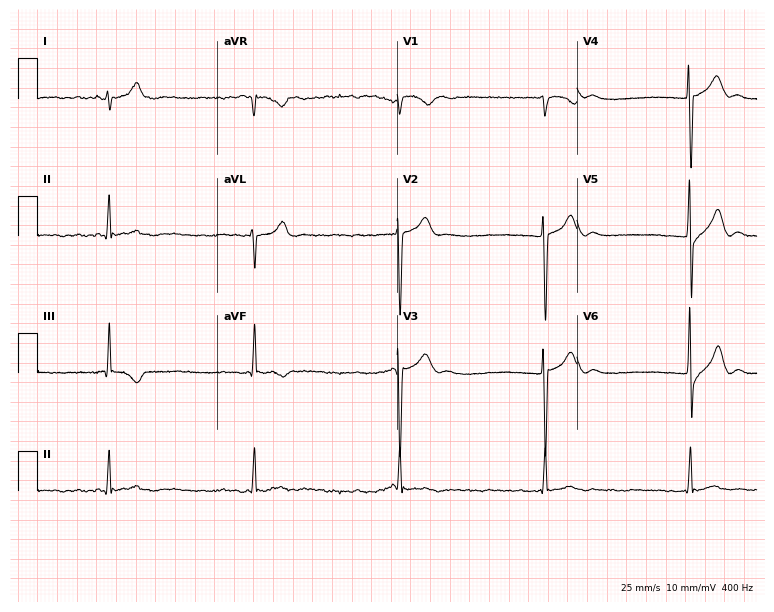
12-lead ECG from a male, 26 years old. Screened for six findings — first-degree AV block, right bundle branch block, left bundle branch block, sinus bradycardia, atrial fibrillation, sinus tachycardia — none is recorded.